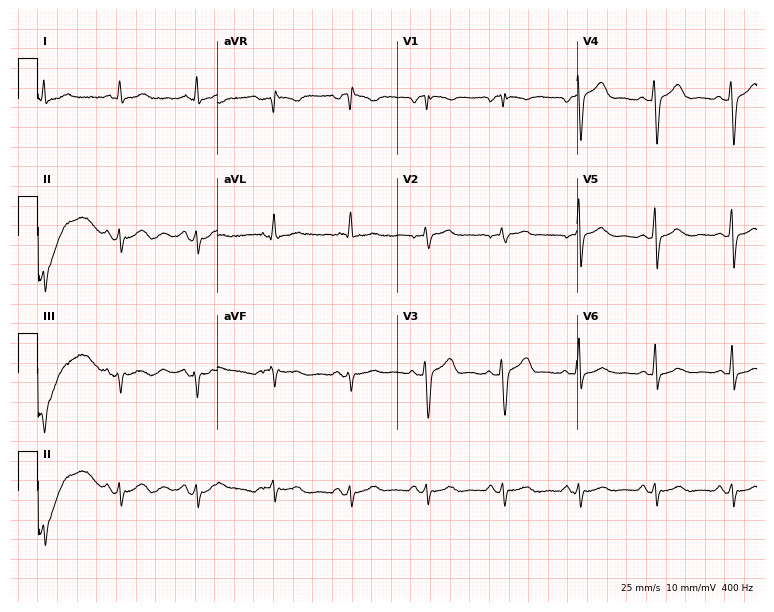
12-lead ECG from a male patient, 63 years old (7.3-second recording at 400 Hz). No first-degree AV block, right bundle branch block (RBBB), left bundle branch block (LBBB), sinus bradycardia, atrial fibrillation (AF) or sinus tachycardia recorded for this tracing. Findings outside these six are not listed.